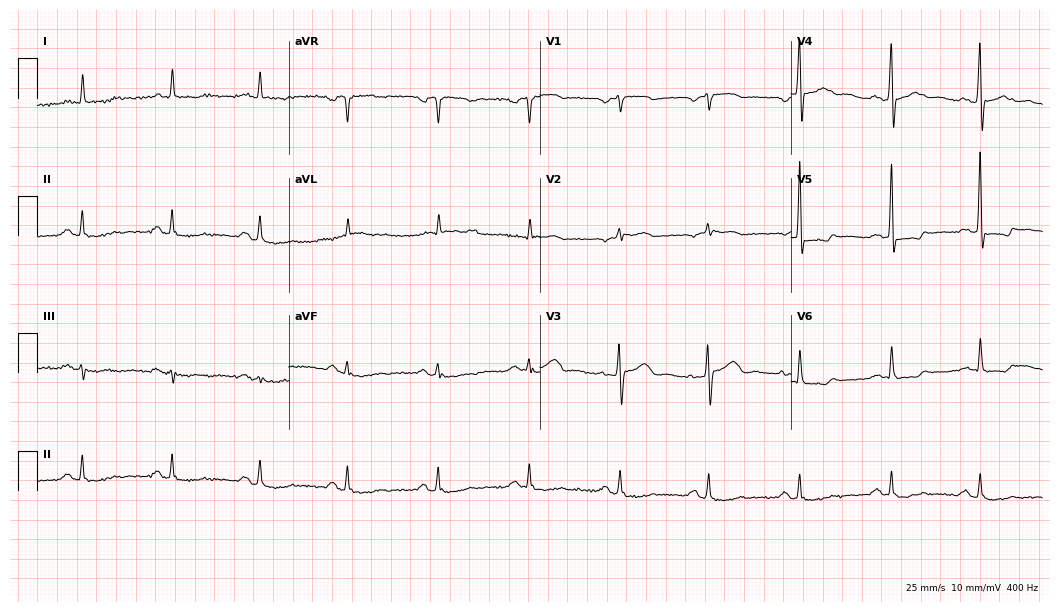
12-lead ECG from a 73-year-old male. Screened for six findings — first-degree AV block, right bundle branch block (RBBB), left bundle branch block (LBBB), sinus bradycardia, atrial fibrillation (AF), sinus tachycardia — none is recorded.